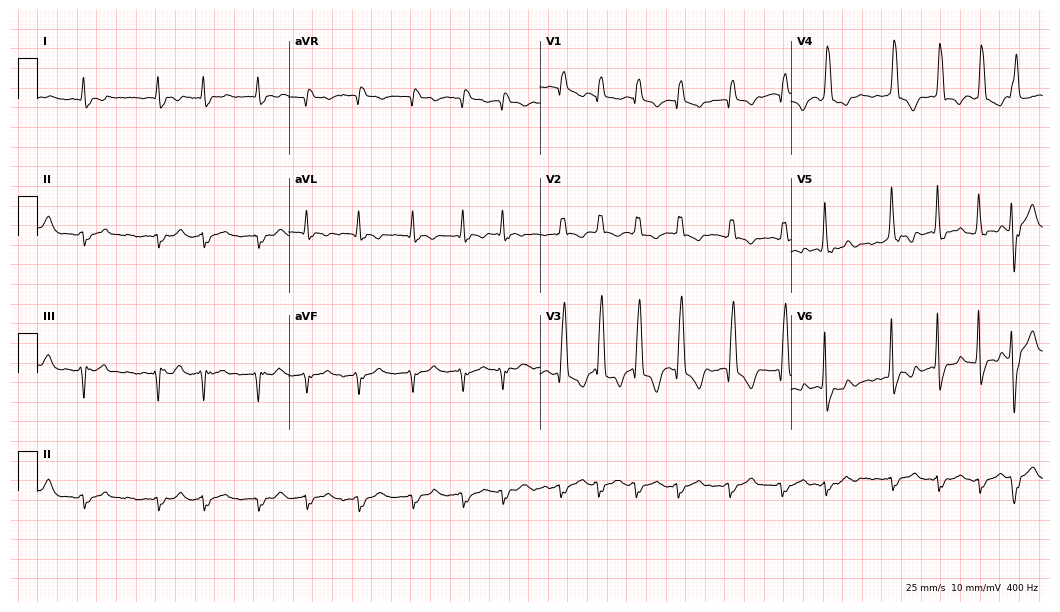
Electrocardiogram, a man, 80 years old. Interpretation includes right bundle branch block, atrial fibrillation, sinus tachycardia (a sinus rate of 100 beats per minute or more).